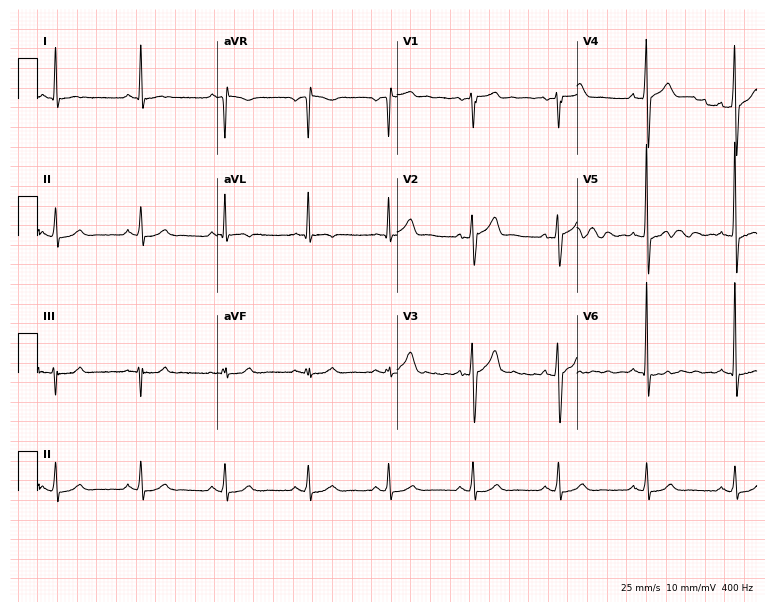
12-lead ECG from a man, 51 years old. No first-degree AV block, right bundle branch block (RBBB), left bundle branch block (LBBB), sinus bradycardia, atrial fibrillation (AF) or sinus tachycardia recorded for this tracing.